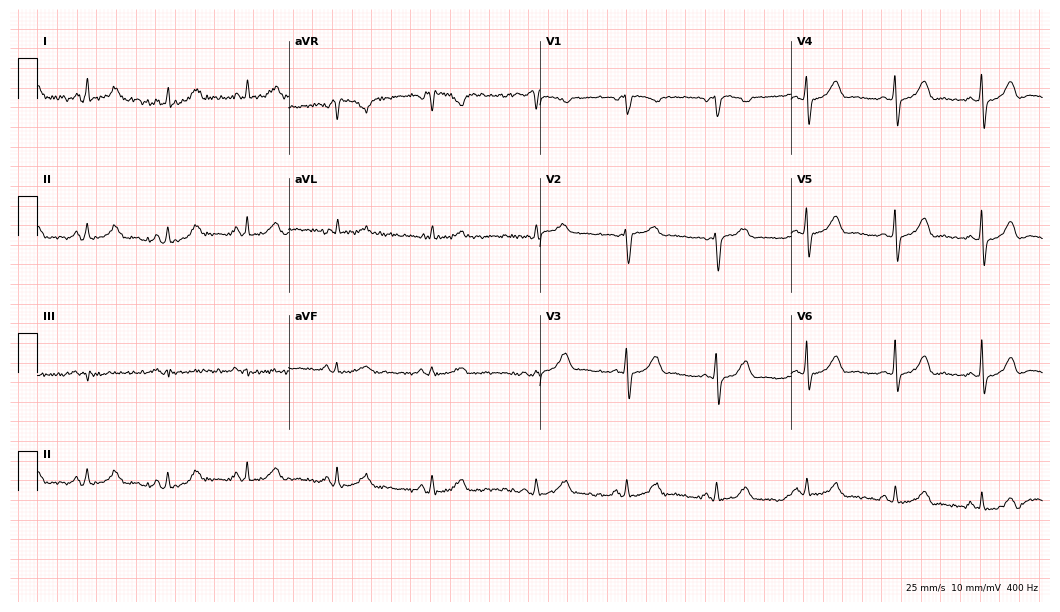
Resting 12-lead electrocardiogram (10.2-second recording at 400 Hz). Patient: a male, 51 years old. Read as a normal ECG.